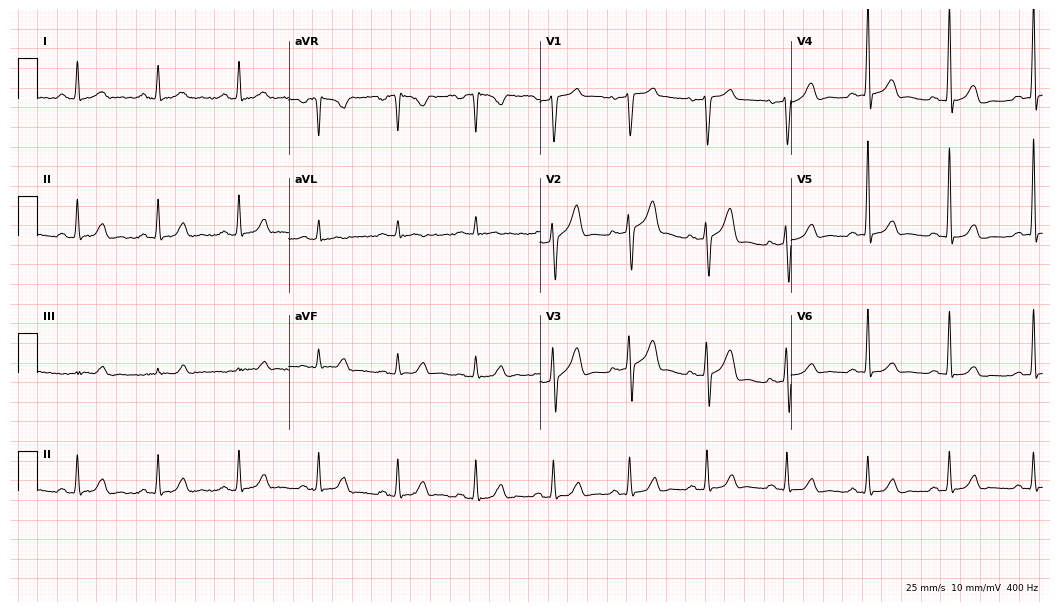
Resting 12-lead electrocardiogram (10.2-second recording at 400 Hz). Patient: a 63-year-old male. Read as a normal ECG.